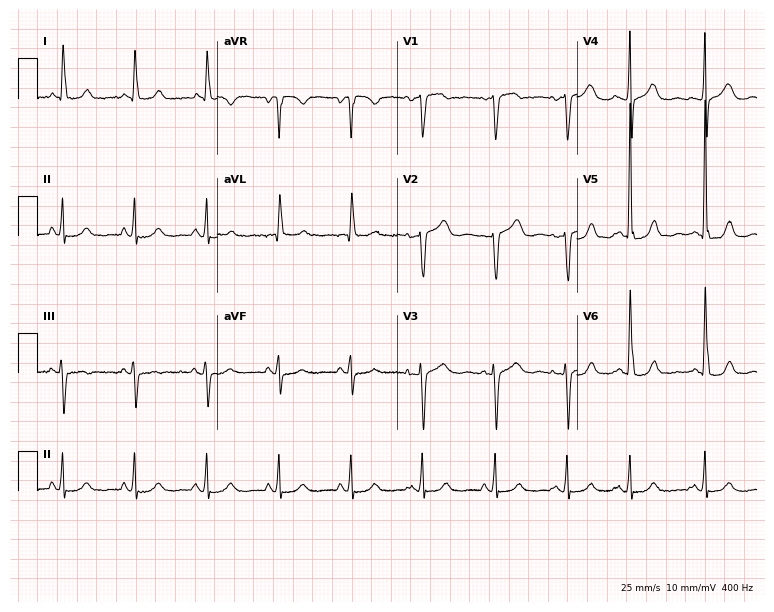
12-lead ECG (7.3-second recording at 400 Hz) from a female, 86 years old. Labelled as a normal ECG.